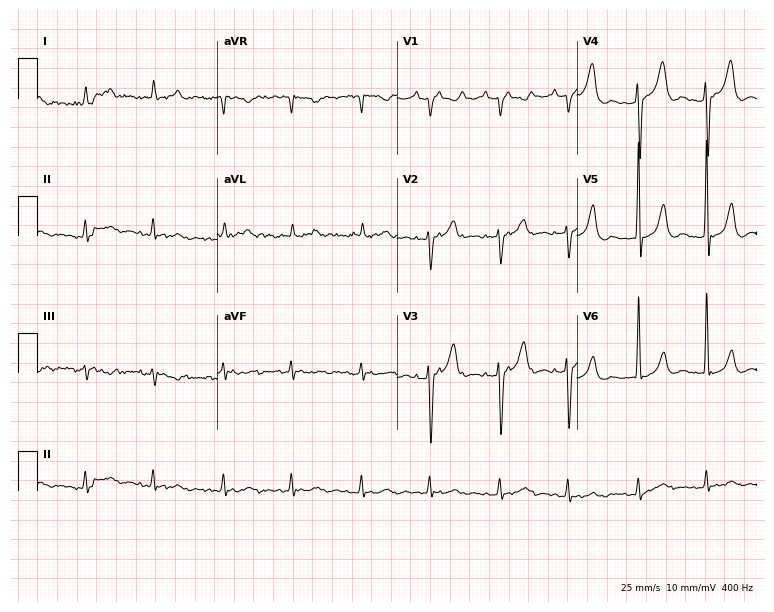
Electrocardiogram (7.3-second recording at 400 Hz), a male, 84 years old. Of the six screened findings (first-degree AV block, right bundle branch block (RBBB), left bundle branch block (LBBB), sinus bradycardia, atrial fibrillation (AF), sinus tachycardia), none is recorded.